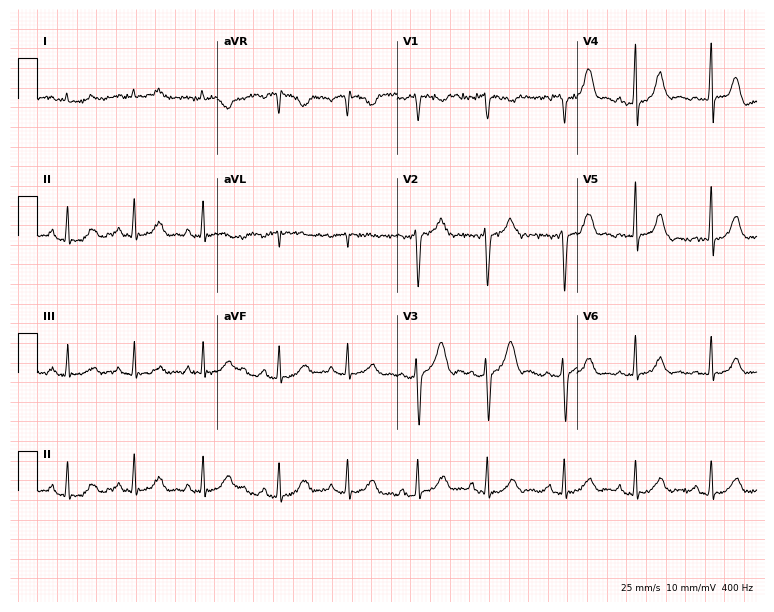
12-lead ECG (7.3-second recording at 400 Hz) from a 38-year-old female. Labelled as a normal ECG.